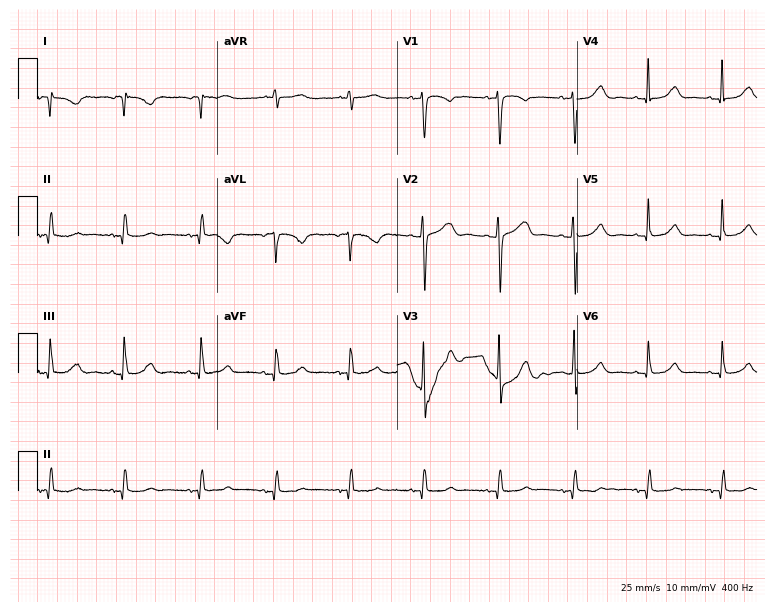
Standard 12-lead ECG recorded from an 85-year-old female (7.3-second recording at 400 Hz). None of these six findings is recorded: first-degree AV block, right bundle branch block, left bundle branch block, sinus bradycardia, atrial fibrillation, sinus tachycardia.